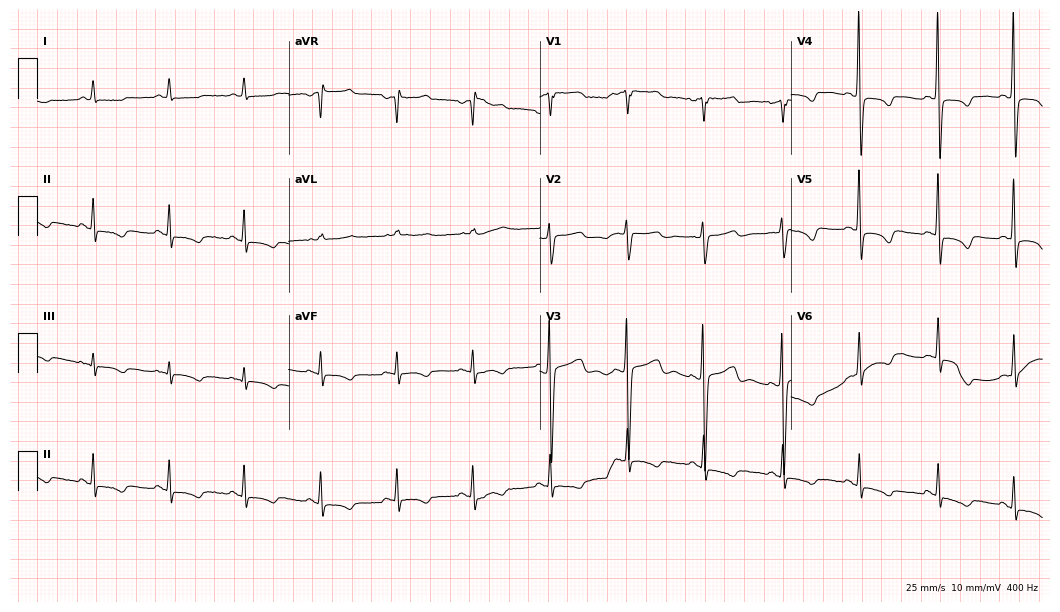
12-lead ECG from a 63-year-old man. No first-degree AV block, right bundle branch block, left bundle branch block, sinus bradycardia, atrial fibrillation or sinus tachycardia recorded for this tracing.